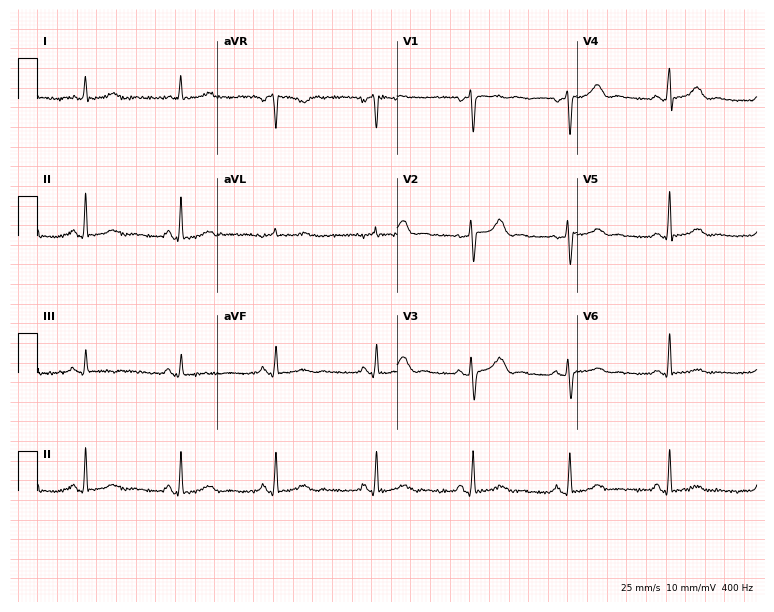
12-lead ECG (7.3-second recording at 400 Hz) from a female, 48 years old. Screened for six findings — first-degree AV block, right bundle branch block, left bundle branch block, sinus bradycardia, atrial fibrillation, sinus tachycardia — none is recorded. Findings outside these six are not listed.